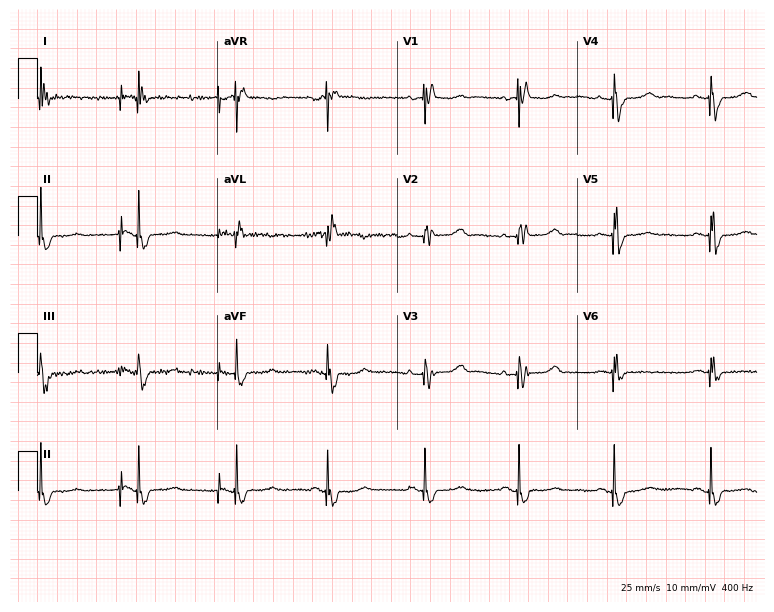
Electrocardiogram (7.3-second recording at 400 Hz), a female, 81 years old. Of the six screened findings (first-degree AV block, right bundle branch block, left bundle branch block, sinus bradycardia, atrial fibrillation, sinus tachycardia), none is recorded. Only these six findings were labelled.